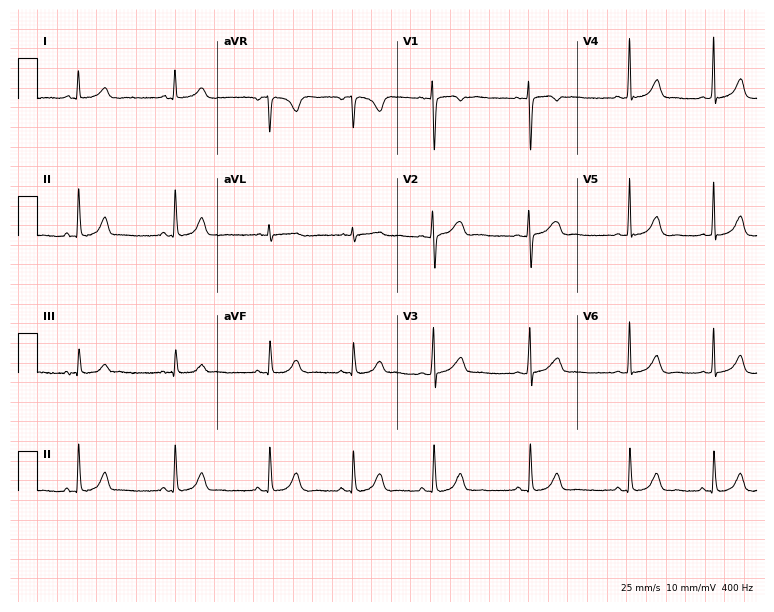
12-lead ECG from a female, 19 years old. No first-degree AV block, right bundle branch block (RBBB), left bundle branch block (LBBB), sinus bradycardia, atrial fibrillation (AF) or sinus tachycardia recorded for this tracing.